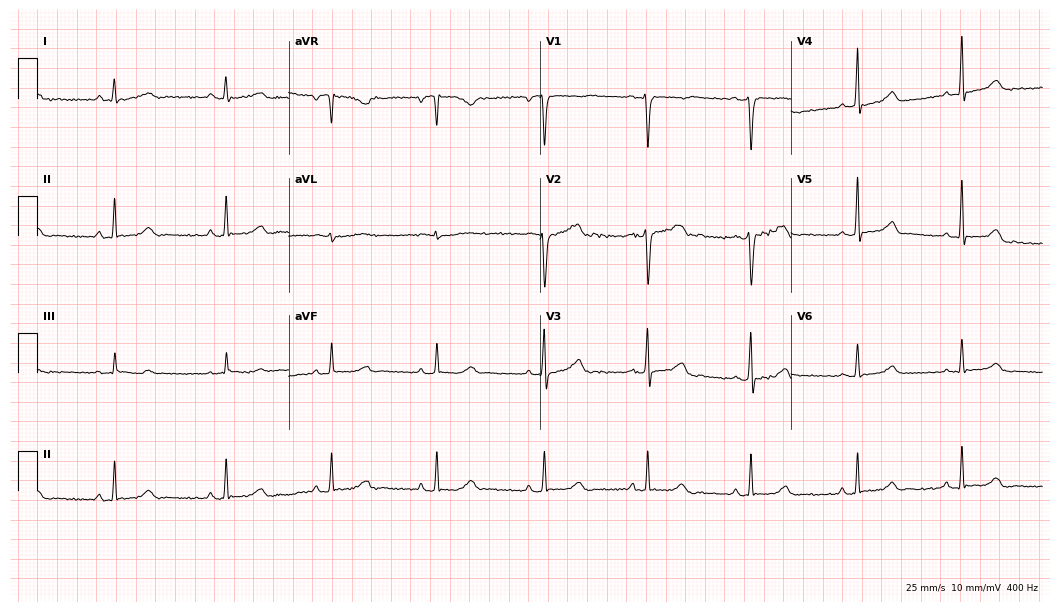
Resting 12-lead electrocardiogram. Patient: a 29-year-old woman. None of these six findings is recorded: first-degree AV block, right bundle branch block (RBBB), left bundle branch block (LBBB), sinus bradycardia, atrial fibrillation (AF), sinus tachycardia. Findings outside these six are not listed.